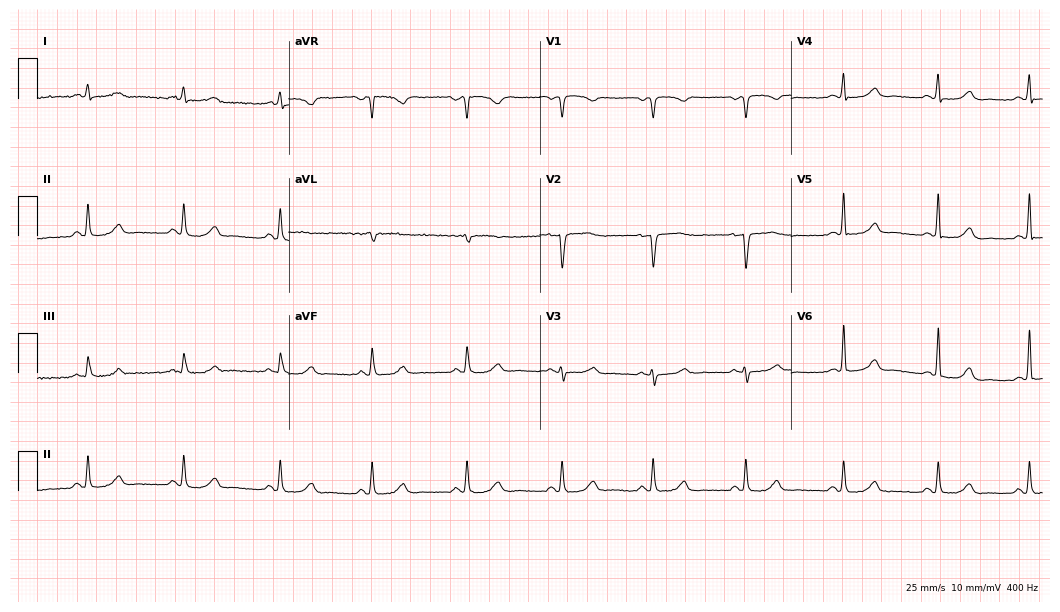
Standard 12-lead ECG recorded from a woman, 57 years old. Read as a normal ECG.